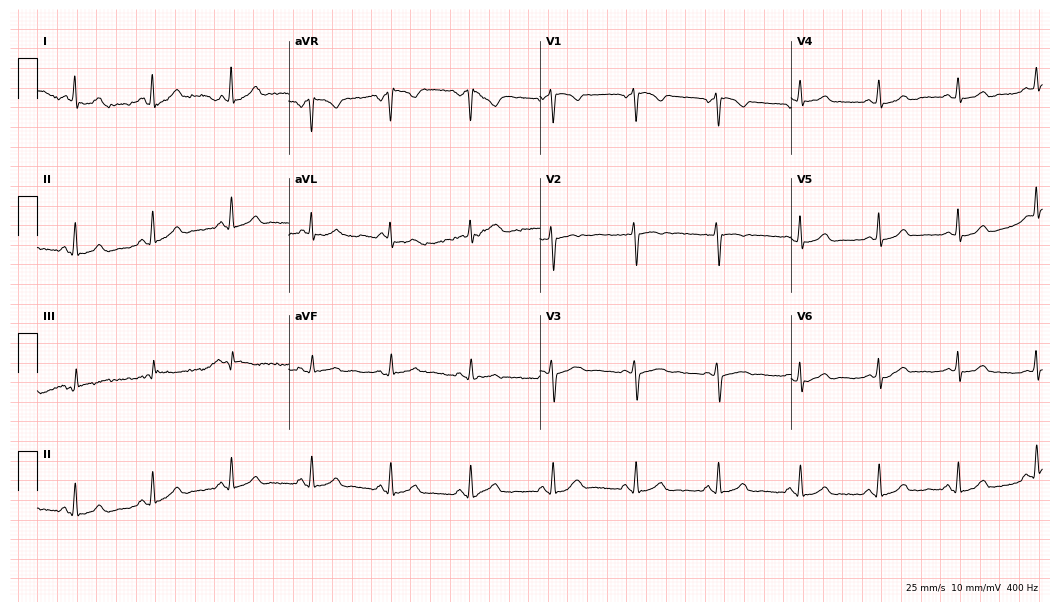
Electrocardiogram, a woman, 33 years old. Overall reading on record: normal ECG.